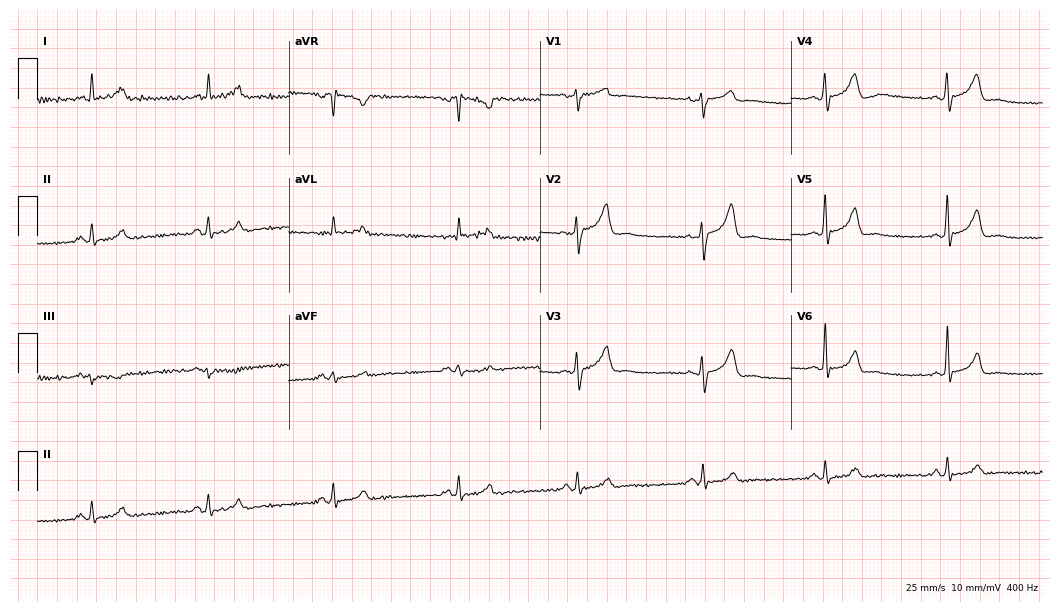
12-lead ECG (10.2-second recording at 400 Hz) from a man, 52 years old. Findings include sinus bradycardia (a sinus rate of 50 beats per minute or less).